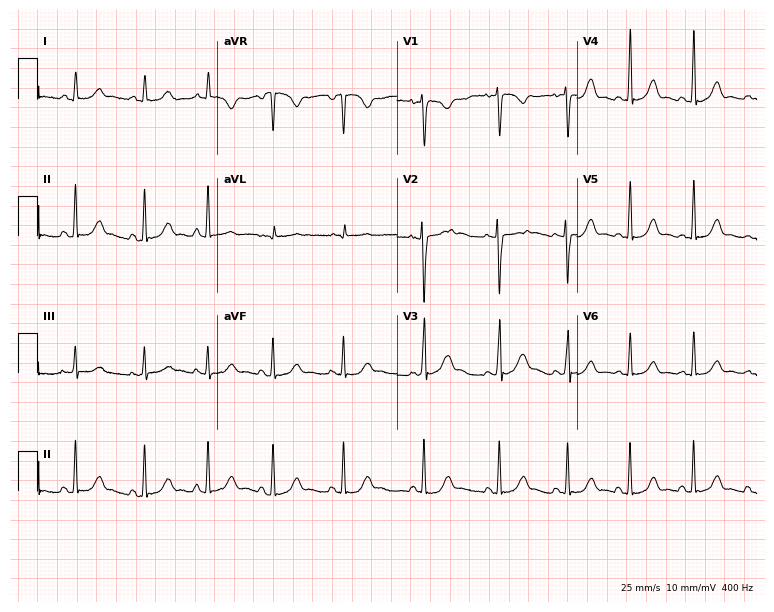
ECG (7.3-second recording at 400 Hz) — a female, 21 years old. Labelled as a normal ECG.